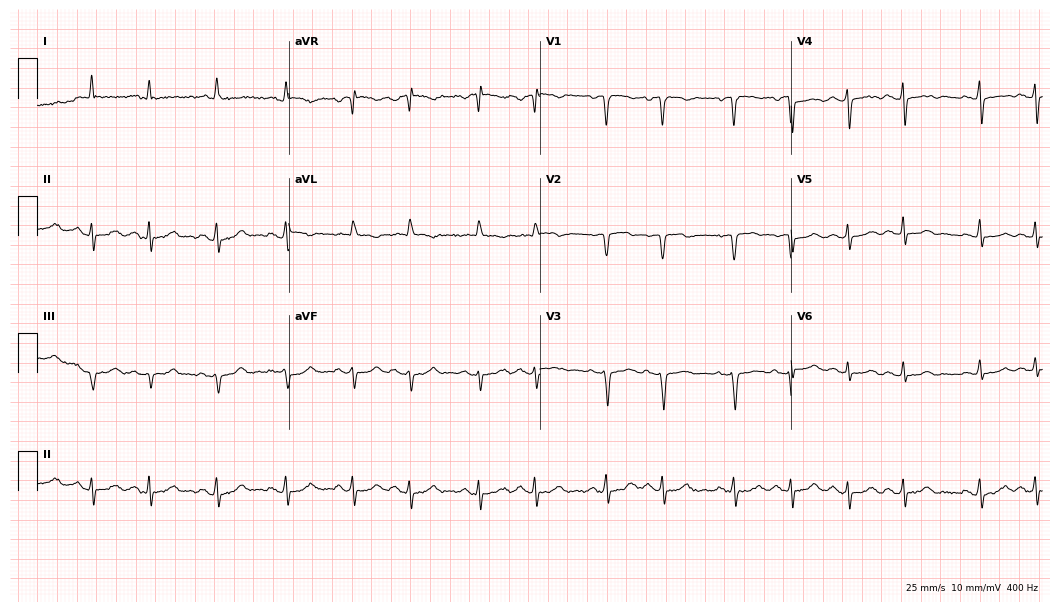
12-lead ECG from an 80-year-old woman (10.2-second recording at 400 Hz). No first-degree AV block, right bundle branch block (RBBB), left bundle branch block (LBBB), sinus bradycardia, atrial fibrillation (AF) or sinus tachycardia recorded for this tracing. Other findings, if any, are not listed.